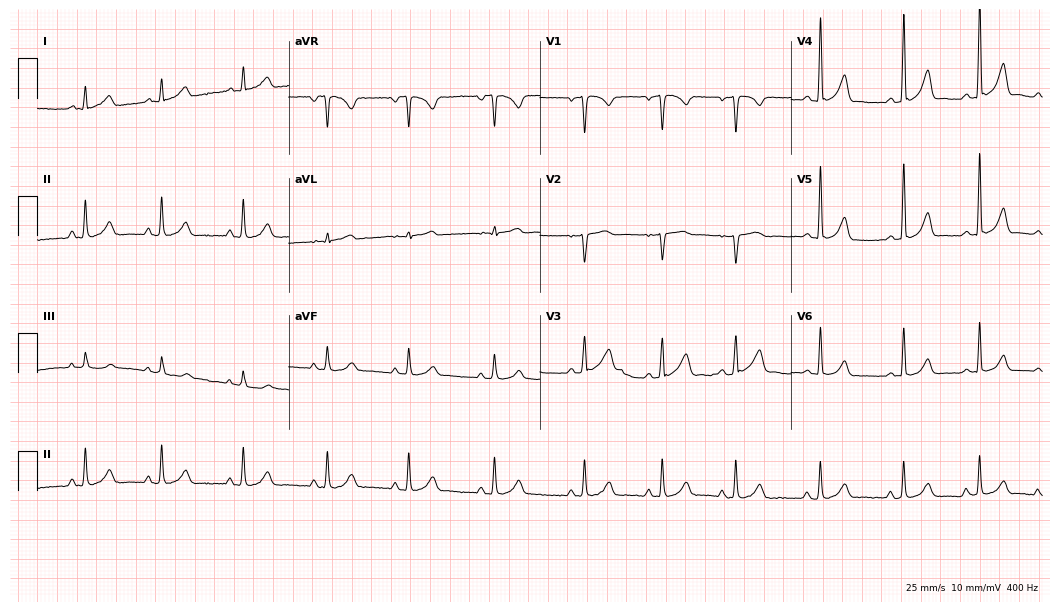
ECG — a 22-year-old female. Labelled as a normal ECG.